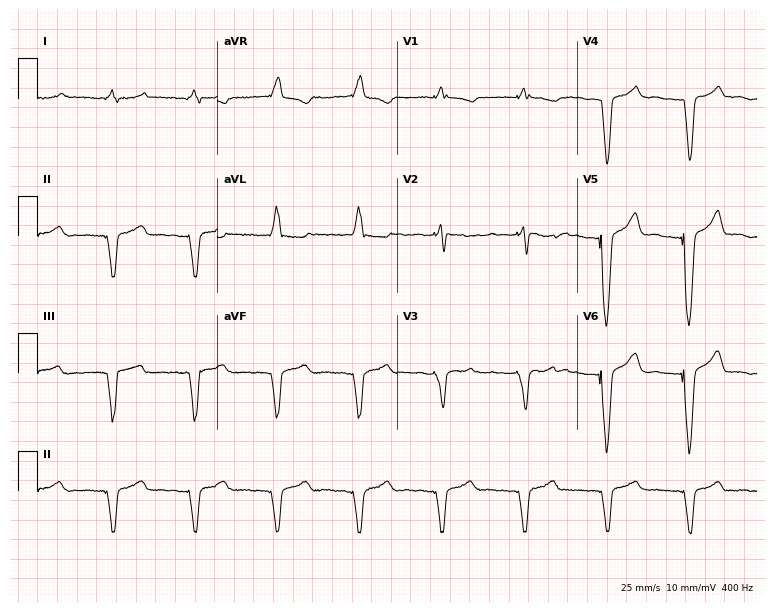
Resting 12-lead electrocardiogram. Patient: a female, 73 years old. None of these six findings is recorded: first-degree AV block, right bundle branch block, left bundle branch block, sinus bradycardia, atrial fibrillation, sinus tachycardia.